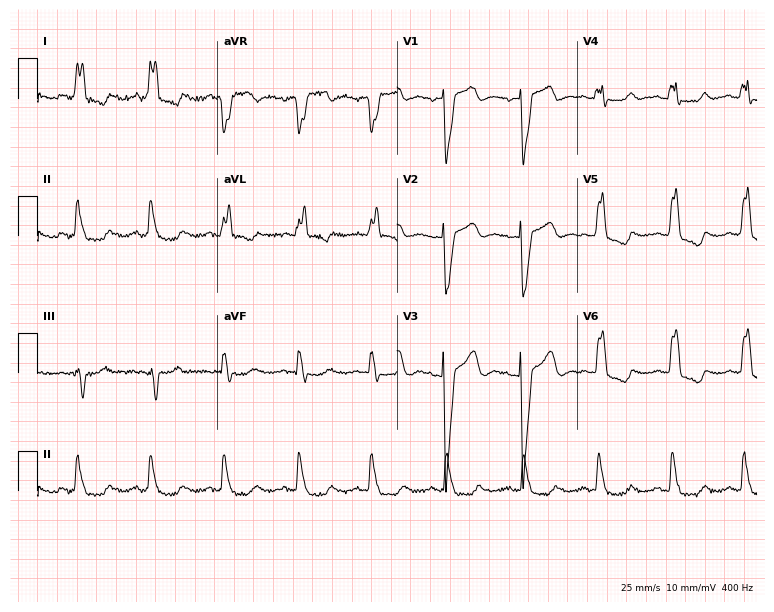
ECG (7.3-second recording at 400 Hz) — a 70-year-old female. Findings include left bundle branch block.